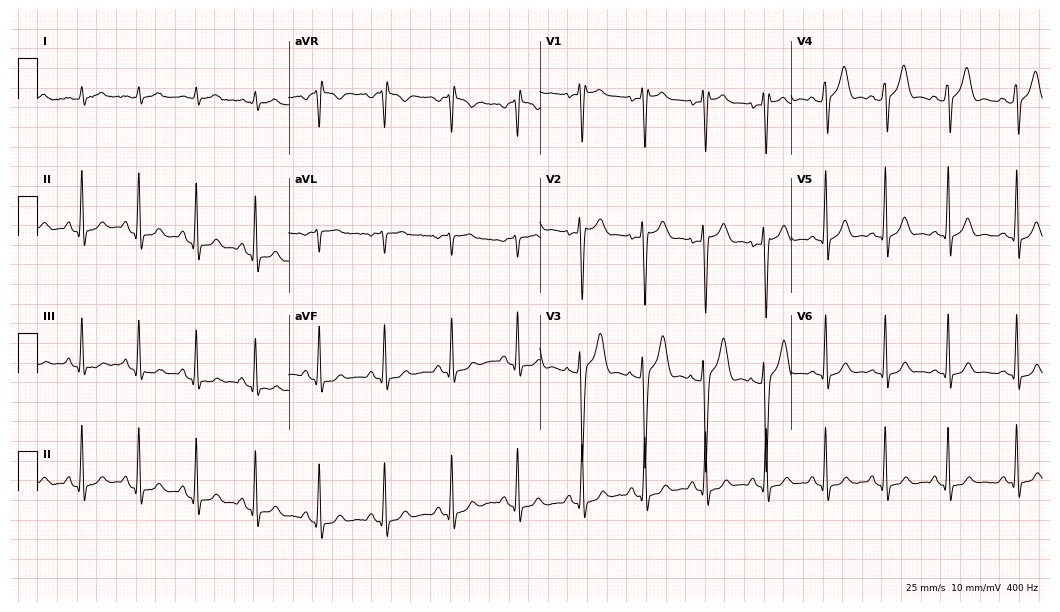
Standard 12-lead ECG recorded from a male, 19 years old (10.2-second recording at 400 Hz). None of these six findings is recorded: first-degree AV block, right bundle branch block, left bundle branch block, sinus bradycardia, atrial fibrillation, sinus tachycardia. Findings outside these six are not listed.